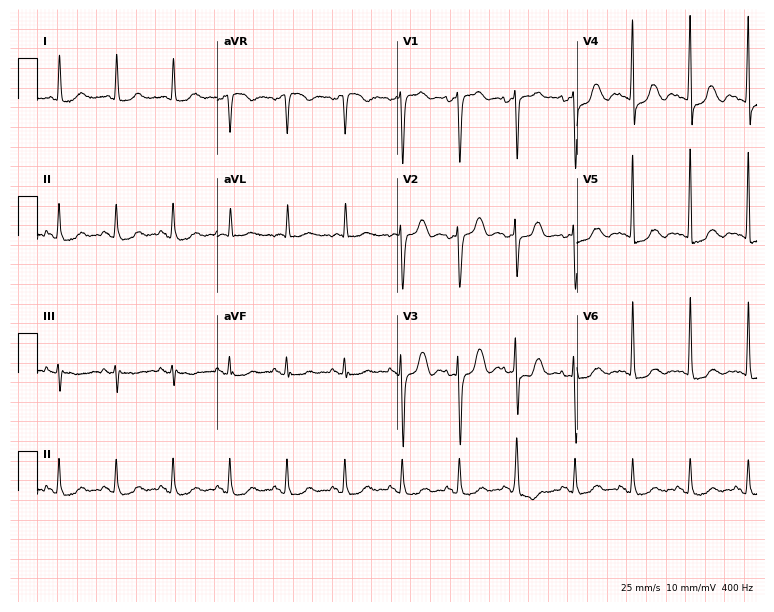
Electrocardiogram (7.3-second recording at 400 Hz), a female, 80 years old. Overall reading on record: normal ECG.